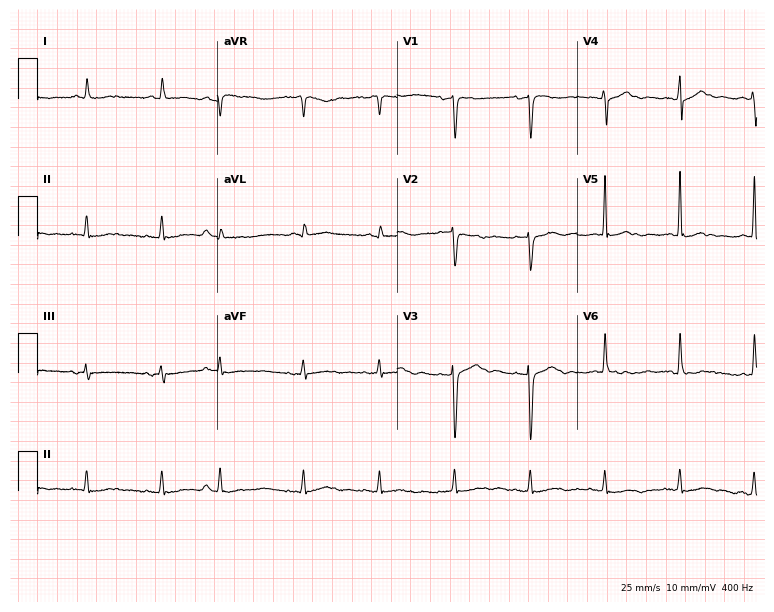
Electrocardiogram (7.3-second recording at 400 Hz), a male patient, 73 years old. Of the six screened findings (first-degree AV block, right bundle branch block (RBBB), left bundle branch block (LBBB), sinus bradycardia, atrial fibrillation (AF), sinus tachycardia), none is recorded. Other findings, if any, are not listed.